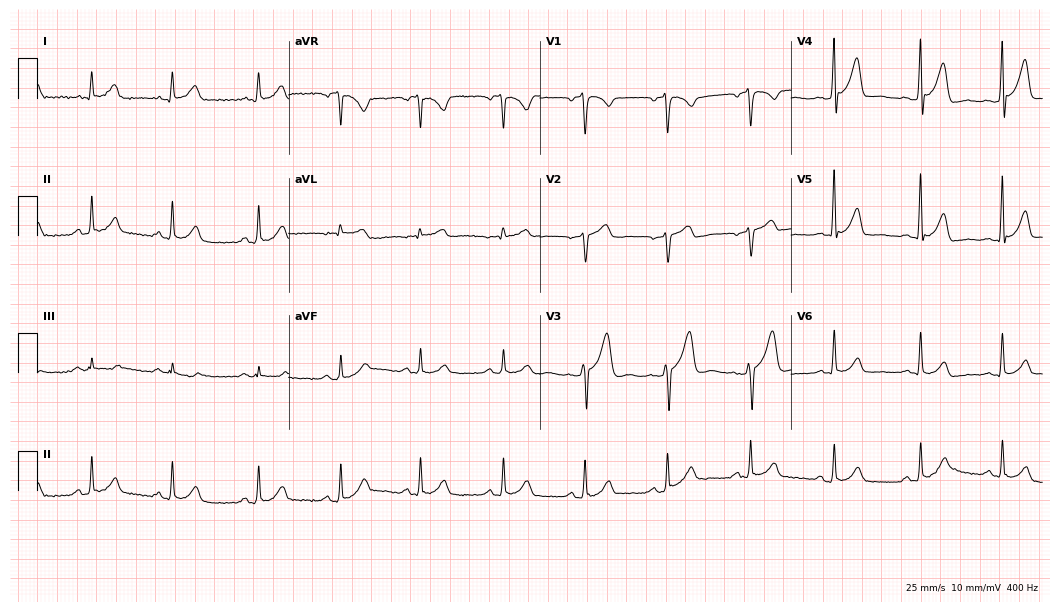
Electrocardiogram (10.2-second recording at 400 Hz), a 42-year-old male. Of the six screened findings (first-degree AV block, right bundle branch block, left bundle branch block, sinus bradycardia, atrial fibrillation, sinus tachycardia), none is recorded.